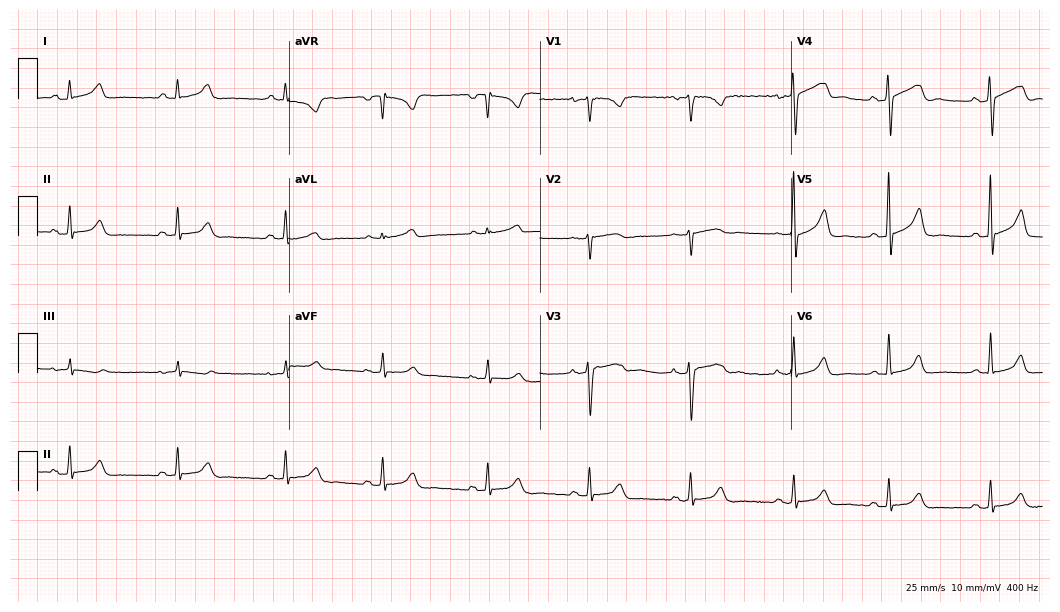
Electrocardiogram, a 33-year-old female patient. Of the six screened findings (first-degree AV block, right bundle branch block (RBBB), left bundle branch block (LBBB), sinus bradycardia, atrial fibrillation (AF), sinus tachycardia), none is recorded. Other findings, if any, are not listed.